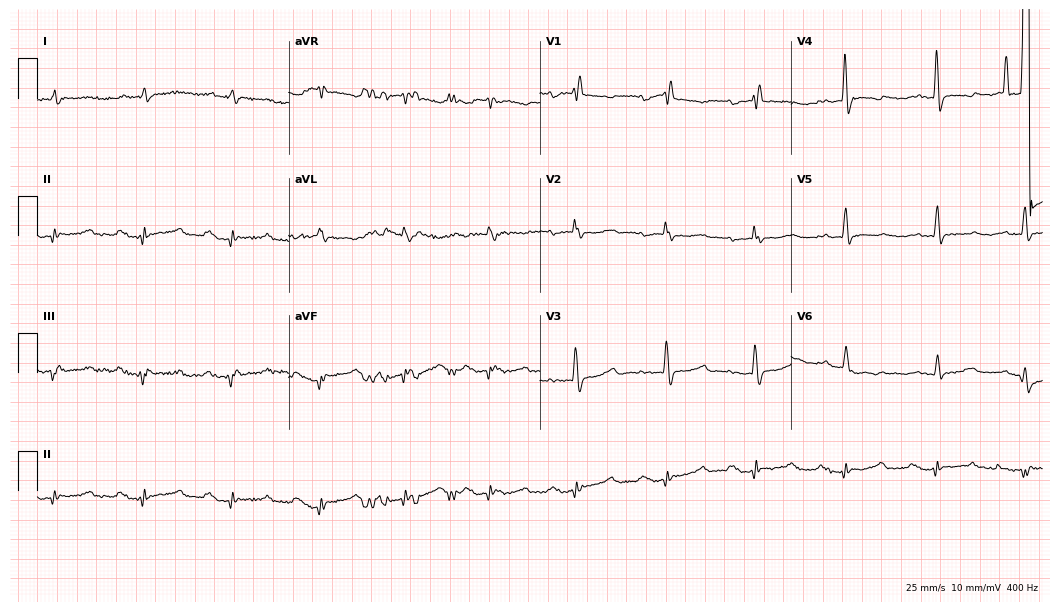
Standard 12-lead ECG recorded from a woman, 77 years old (10.2-second recording at 400 Hz). The tracing shows right bundle branch block, atrial fibrillation.